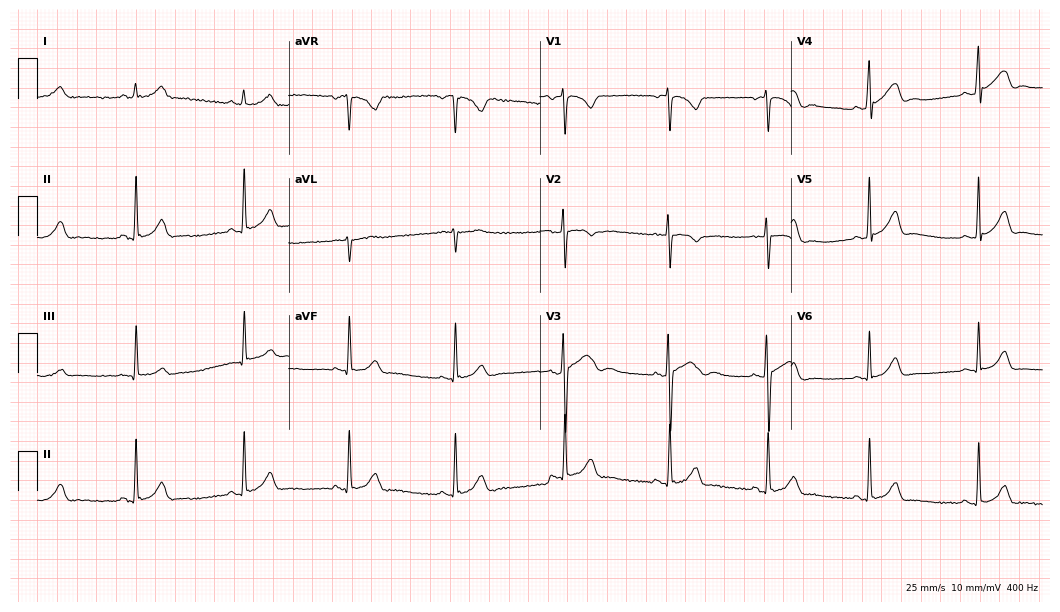
ECG — a female, 17 years old. Screened for six findings — first-degree AV block, right bundle branch block, left bundle branch block, sinus bradycardia, atrial fibrillation, sinus tachycardia — none is recorded.